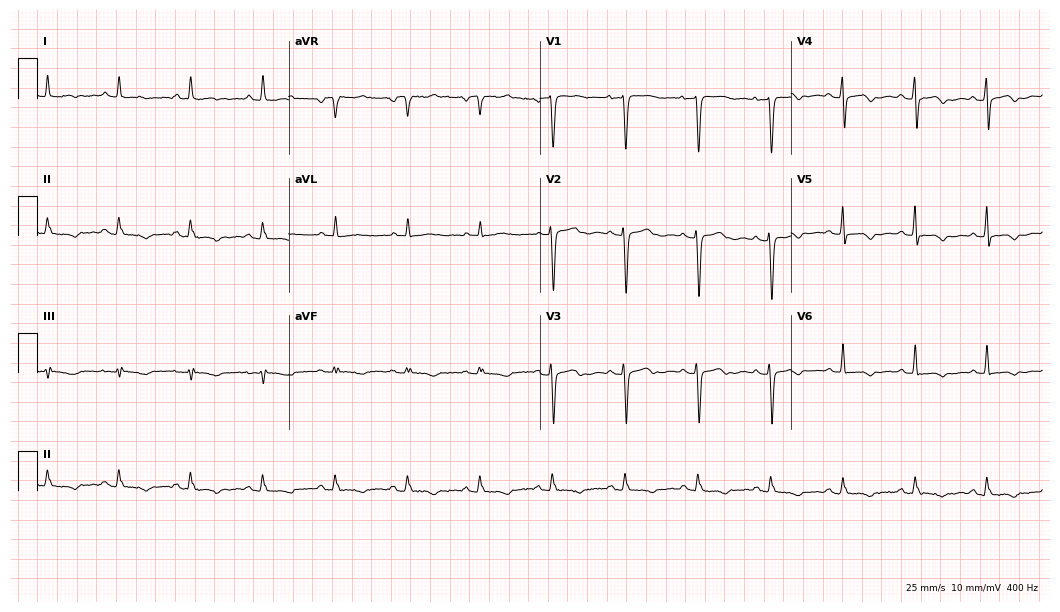
Standard 12-lead ECG recorded from a 59-year-old female patient. None of these six findings is recorded: first-degree AV block, right bundle branch block, left bundle branch block, sinus bradycardia, atrial fibrillation, sinus tachycardia. Only these six findings were labelled.